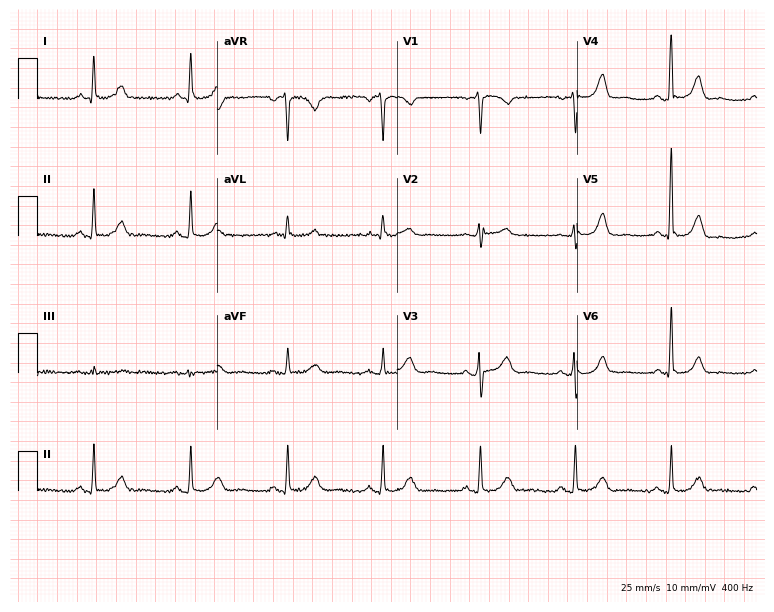
ECG — a female, 65 years old. Labelled as a normal ECG.